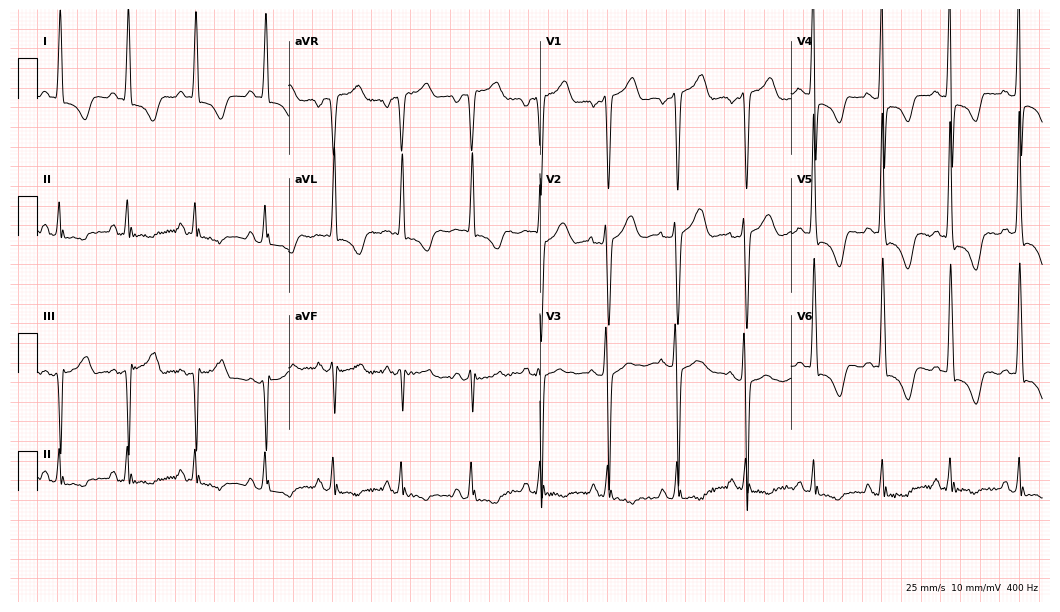
12-lead ECG from a male patient, 41 years old. Screened for six findings — first-degree AV block, right bundle branch block, left bundle branch block, sinus bradycardia, atrial fibrillation, sinus tachycardia — none is recorded.